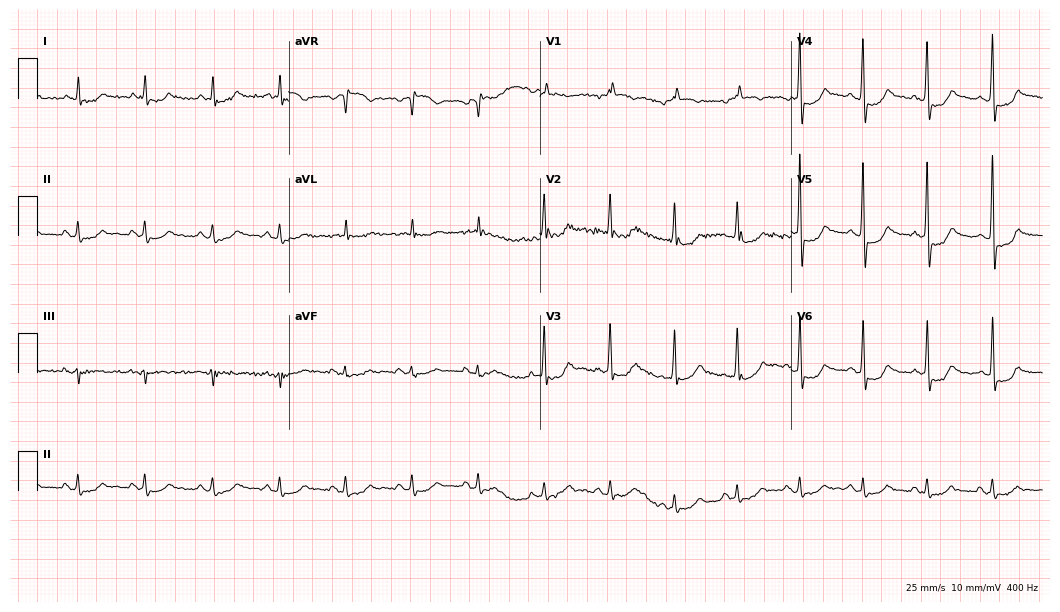
Standard 12-lead ECG recorded from a man, 68 years old. None of these six findings is recorded: first-degree AV block, right bundle branch block (RBBB), left bundle branch block (LBBB), sinus bradycardia, atrial fibrillation (AF), sinus tachycardia. Other findings, if any, are not listed.